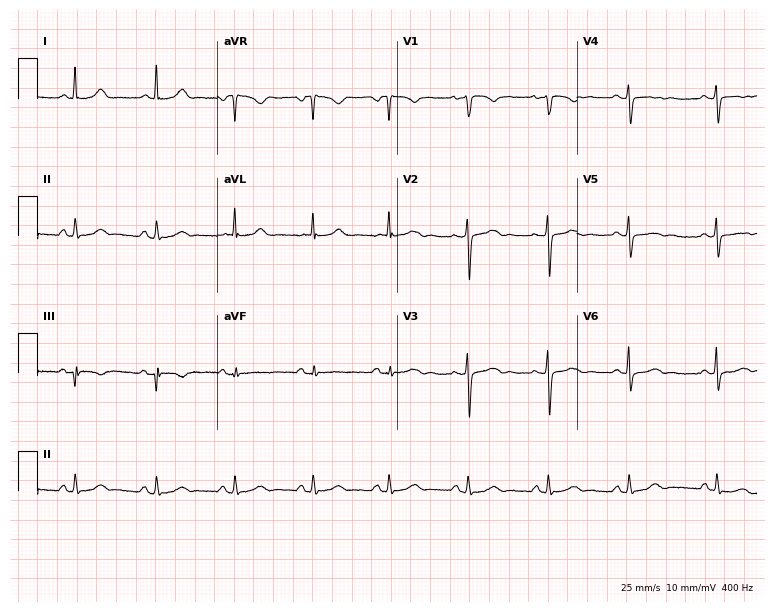
12-lead ECG from a 37-year-old female patient. Labelled as a normal ECG.